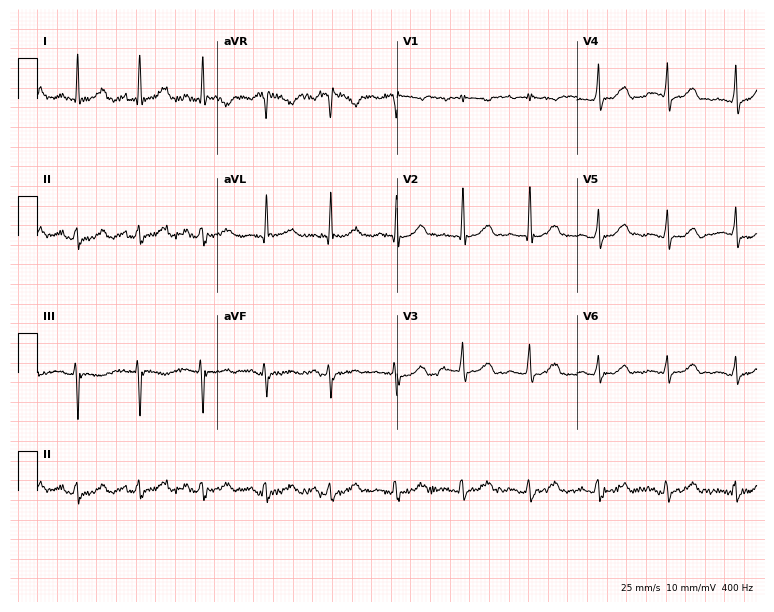
Resting 12-lead electrocardiogram. Patient: a female, 67 years old. Read as a normal ECG.